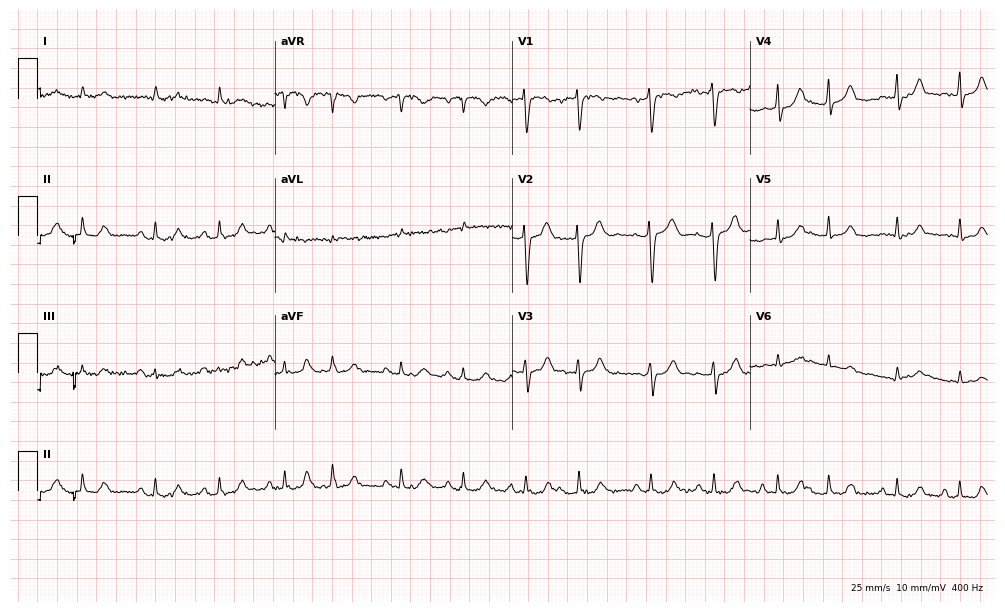
Resting 12-lead electrocardiogram. Patient: a 64-year-old male. None of these six findings is recorded: first-degree AV block, right bundle branch block, left bundle branch block, sinus bradycardia, atrial fibrillation, sinus tachycardia. Only these six findings were labelled.